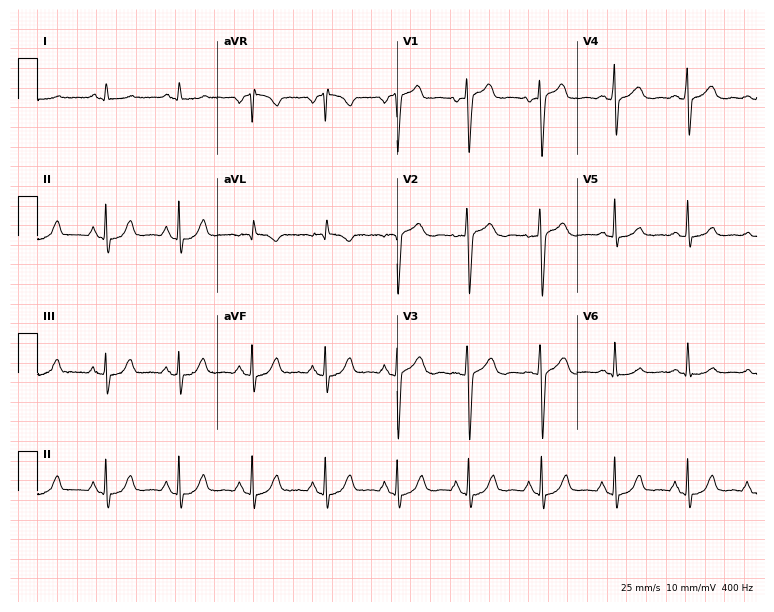
Electrocardiogram (7.3-second recording at 400 Hz), a man, 74 years old. Overall reading on record: normal ECG.